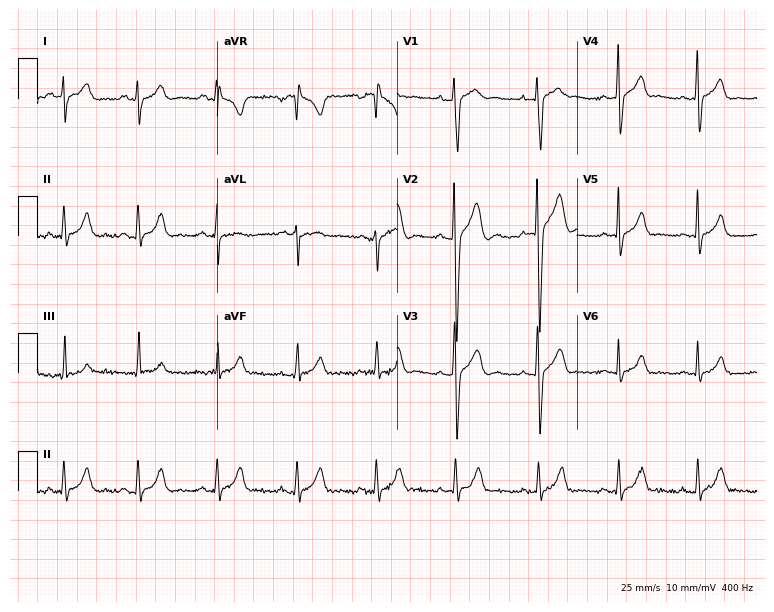
Standard 12-lead ECG recorded from a man, 19 years old (7.3-second recording at 400 Hz). None of these six findings is recorded: first-degree AV block, right bundle branch block, left bundle branch block, sinus bradycardia, atrial fibrillation, sinus tachycardia. Only these six findings were labelled.